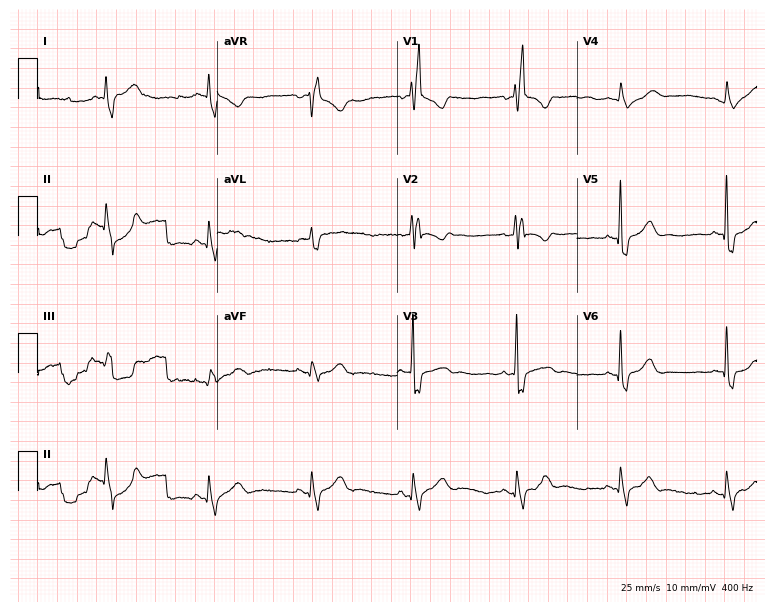
Resting 12-lead electrocardiogram. Patient: a male, 70 years old. None of these six findings is recorded: first-degree AV block, right bundle branch block (RBBB), left bundle branch block (LBBB), sinus bradycardia, atrial fibrillation (AF), sinus tachycardia. Only these six findings were labelled.